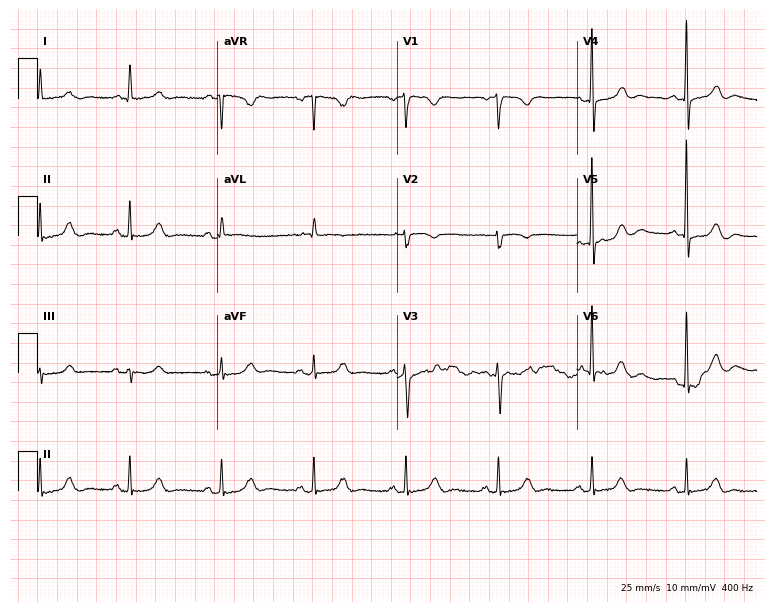
12-lead ECG from a female, 68 years old (7.3-second recording at 400 Hz). Recorded interpretation: within normal limits.